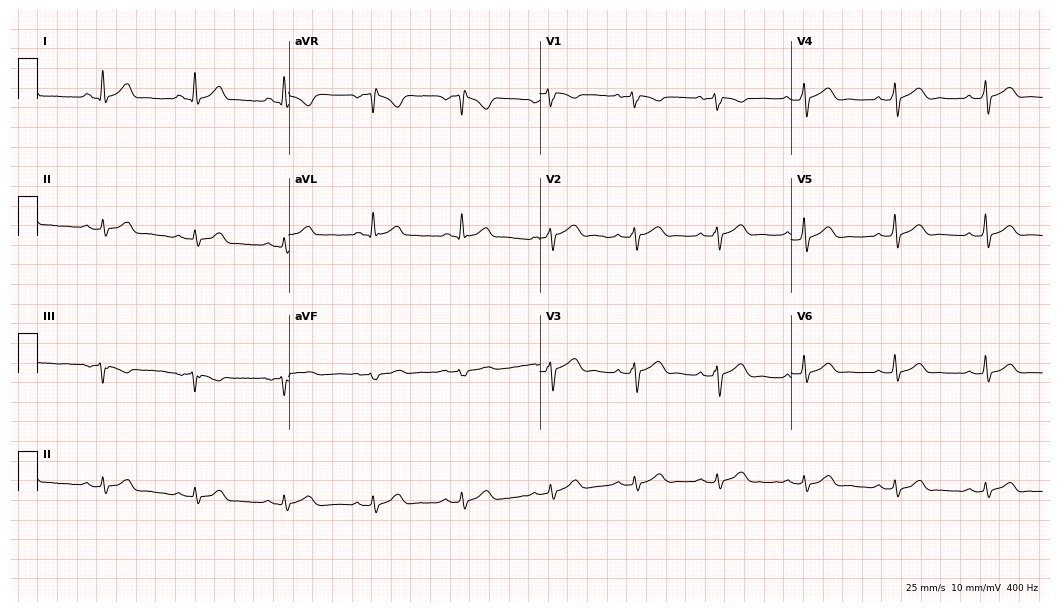
Electrocardiogram, a 41-year-old male patient. Overall reading on record: normal ECG.